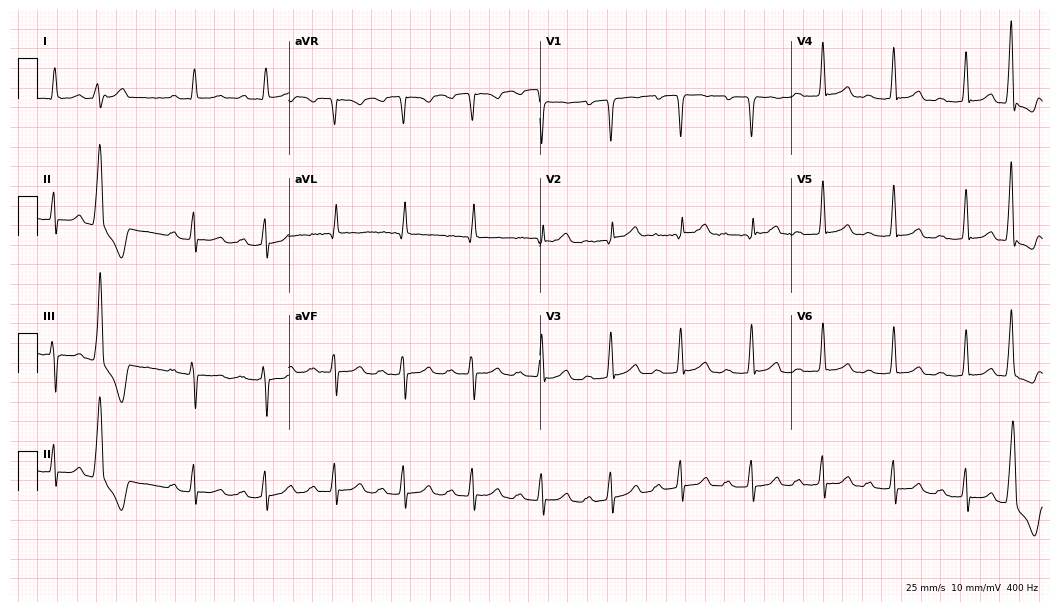
12-lead ECG (10.2-second recording at 400 Hz) from a female patient, 49 years old. Findings include first-degree AV block.